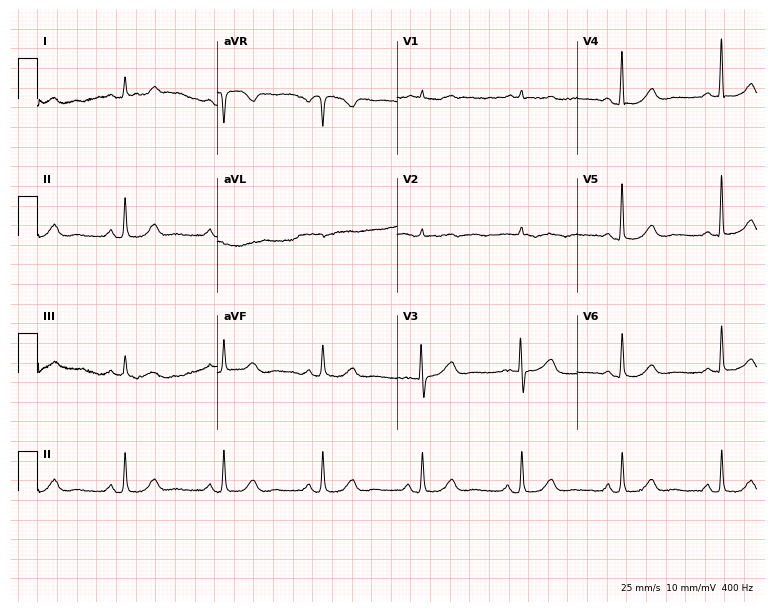
12-lead ECG from an 84-year-old female. Labelled as a normal ECG.